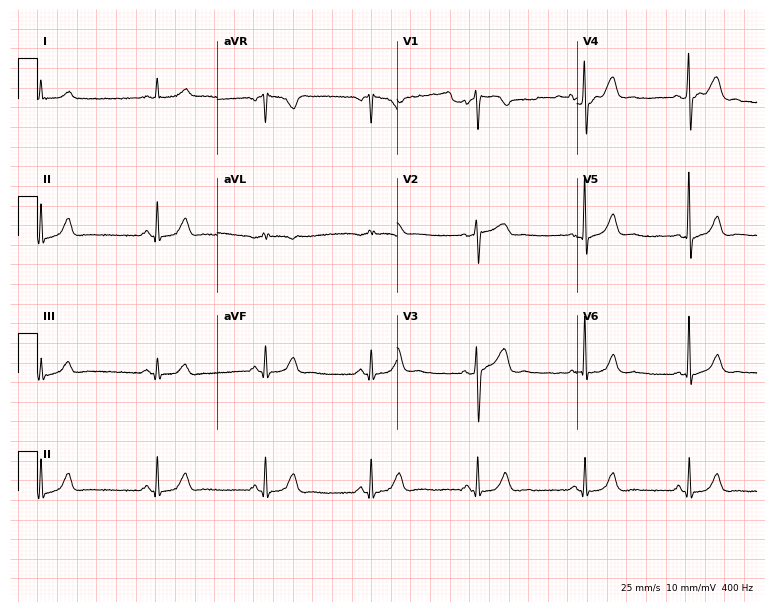
12-lead ECG (7.3-second recording at 400 Hz) from a 69-year-old male patient. Labelled as a normal ECG.